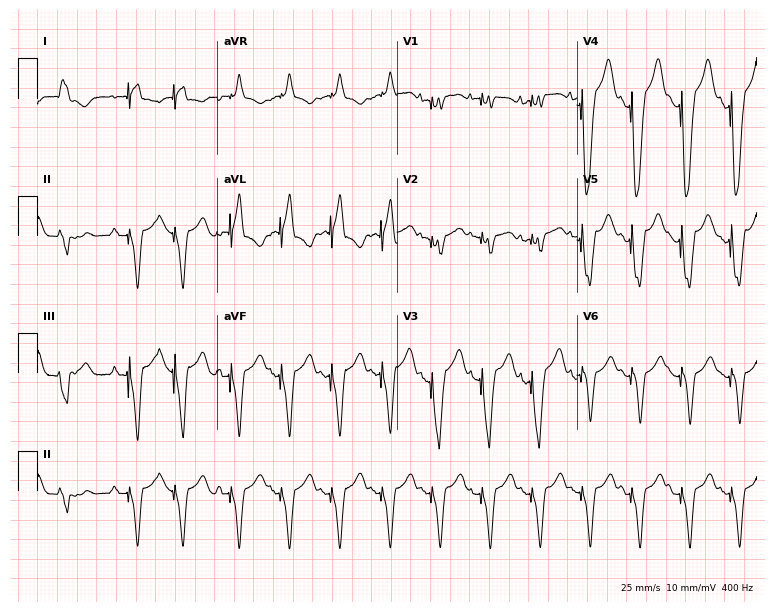
Standard 12-lead ECG recorded from an 84-year-old man (7.3-second recording at 400 Hz). The tracing shows right bundle branch block, sinus tachycardia (a sinus rate of 100 beats per minute or more).